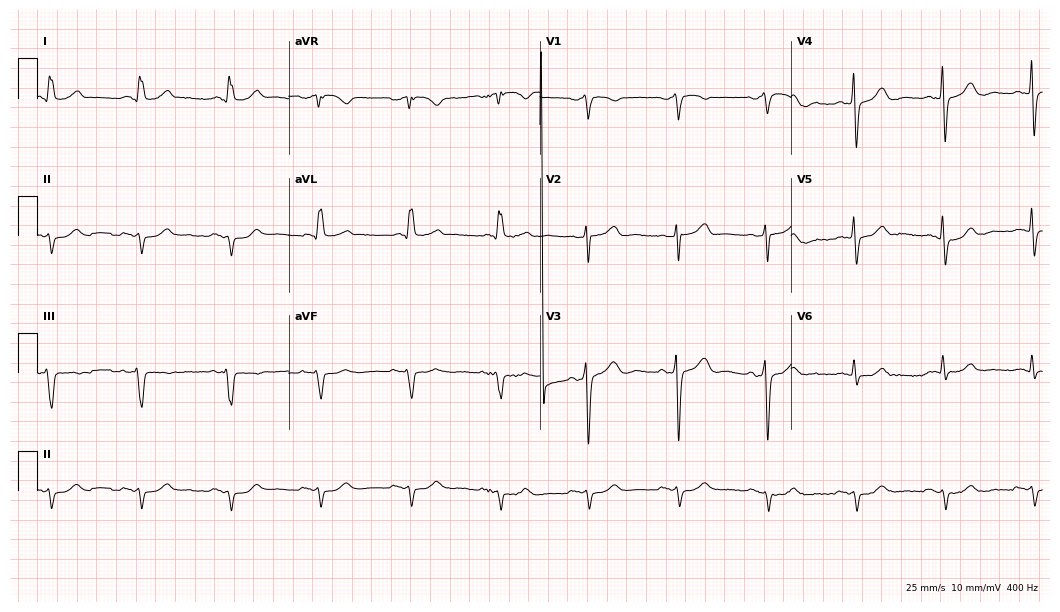
Standard 12-lead ECG recorded from a man, 79 years old (10.2-second recording at 400 Hz). None of these six findings is recorded: first-degree AV block, right bundle branch block, left bundle branch block, sinus bradycardia, atrial fibrillation, sinus tachycardia. Findings outside these six are not listed.